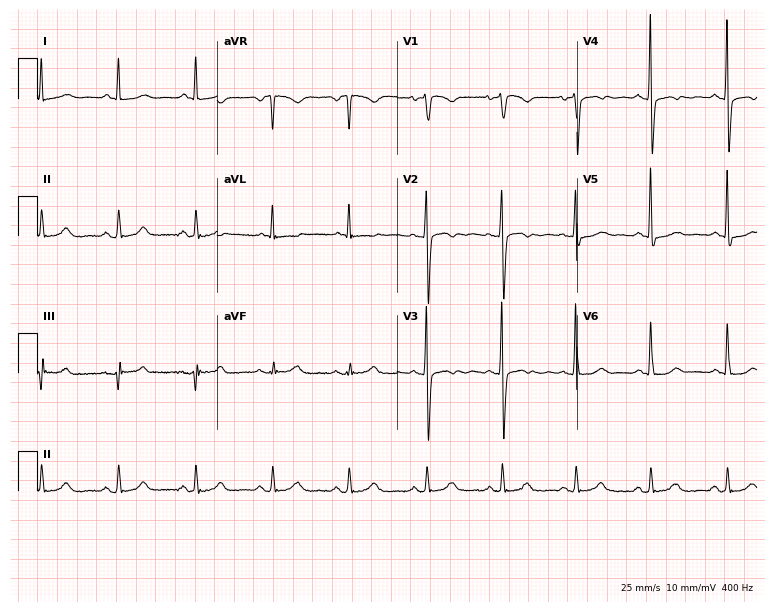
Standard 12-lead ECG recorded from a 62-year-old female patient (7.3-second recording at 400 Hz). None of these six findings is recorded: first-degree AV block, right bundle branch block, left bundle branch block, sinus bradycardia, atrial fibrillation, sinus tachycardia.